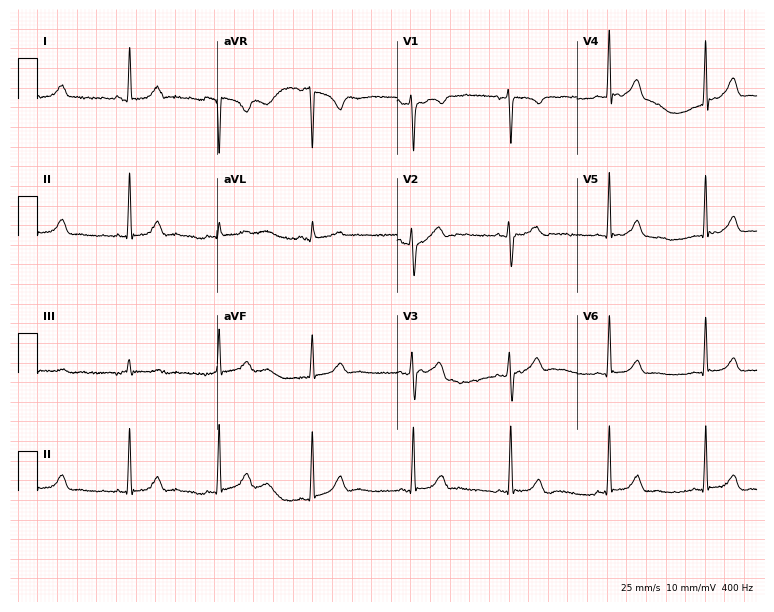
ECG (7.3-second recording at 400 Hz) — a 40-year-old female patient. Labelled as a normal ECG.